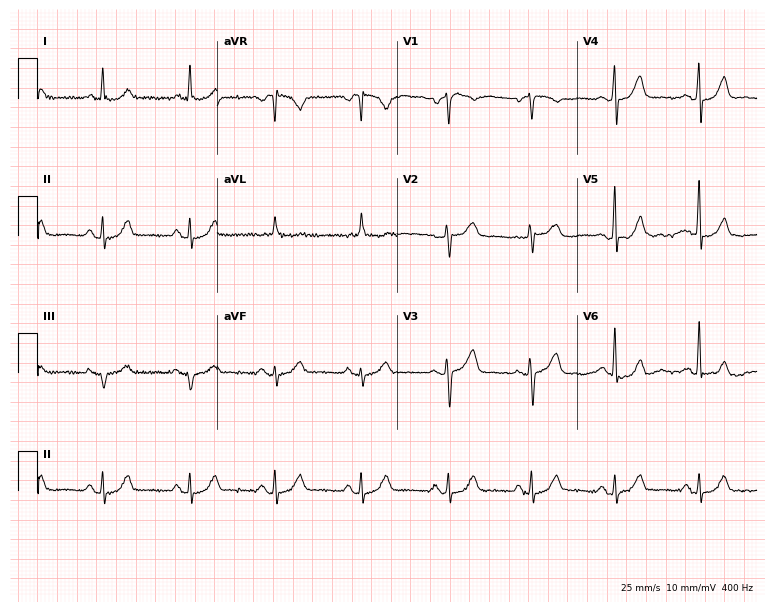
Resting 12-lead electrocardiogram (7.3-second recording at 400 Hz). Patient: a 60-year-old female. Read as a normal ECG.